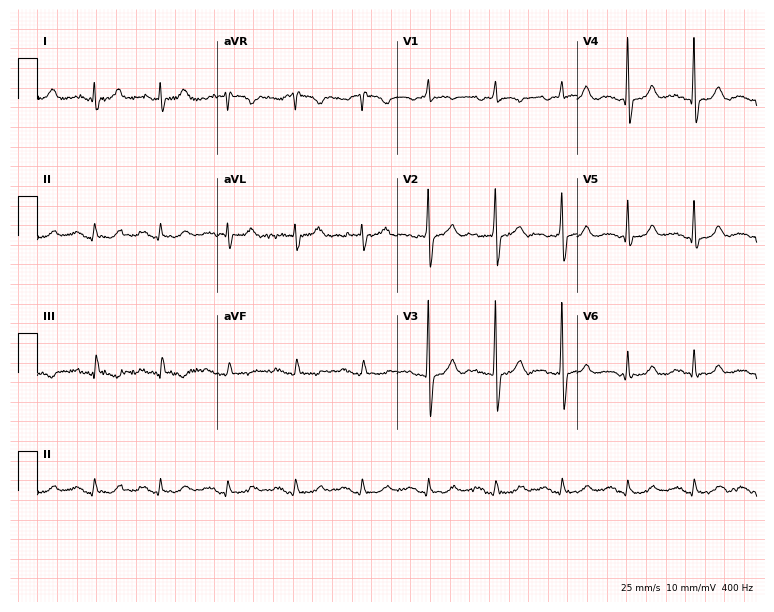
12-lead ECG (7.3-second recording at 400 Hz) from a 72-year-old male. Screened for six findings — first-degree AV block, right bundle branch block (RBBB), left bundle branch block (LBBB), sinus bradycardia, atrial fibrillation (AF), sinus tachycardia — none is recorded.